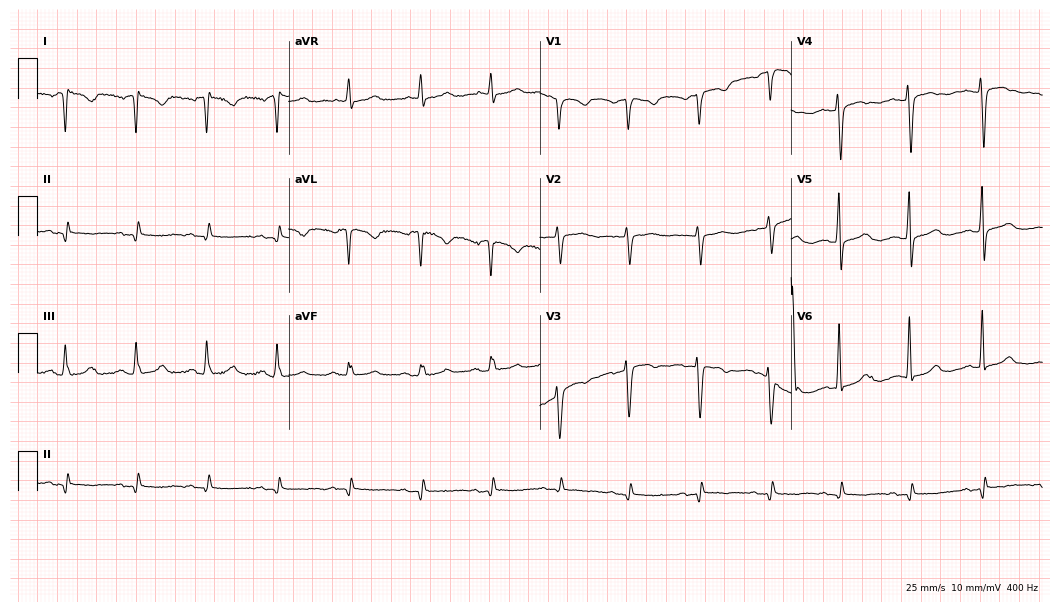
Electrocardiogram, a woman, 51 years old. Of the six screened findings (first-degree AV block, right bundle branch block, left bundle branch block, sinus bradycardia, atrial fibrillation, sinus tachycardia), none is recorded. Findings outside these six are not listed.